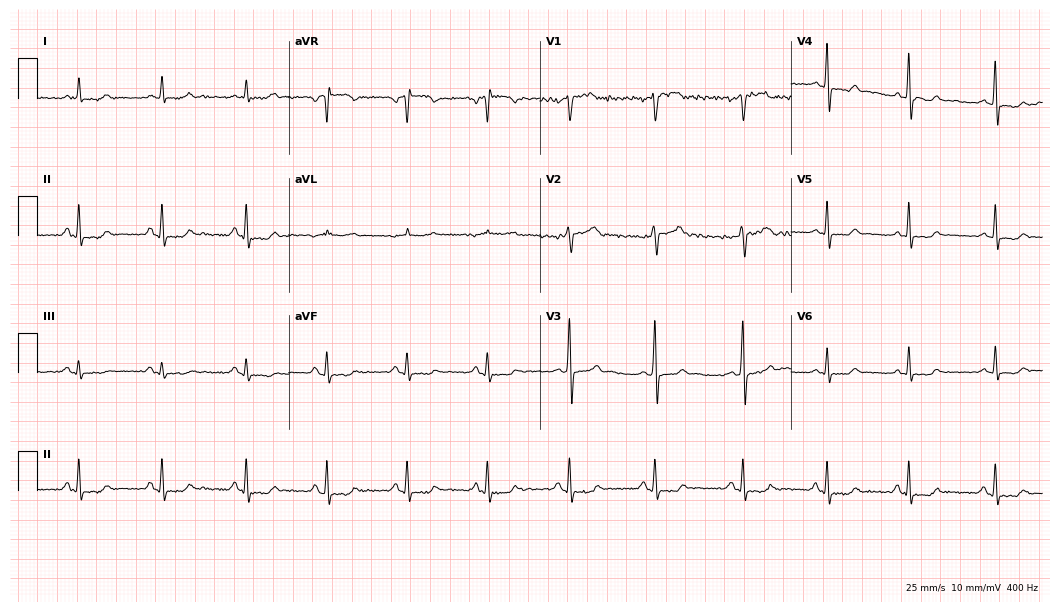
12-lead ECG from a male, 52 years old. No first-degree AV block, right bundle branch block, left bundle branch block, sinus bradycardia, atrial fibrillation or sinus tachycardia recorded for this tracing. Findings outside these six are not listed.